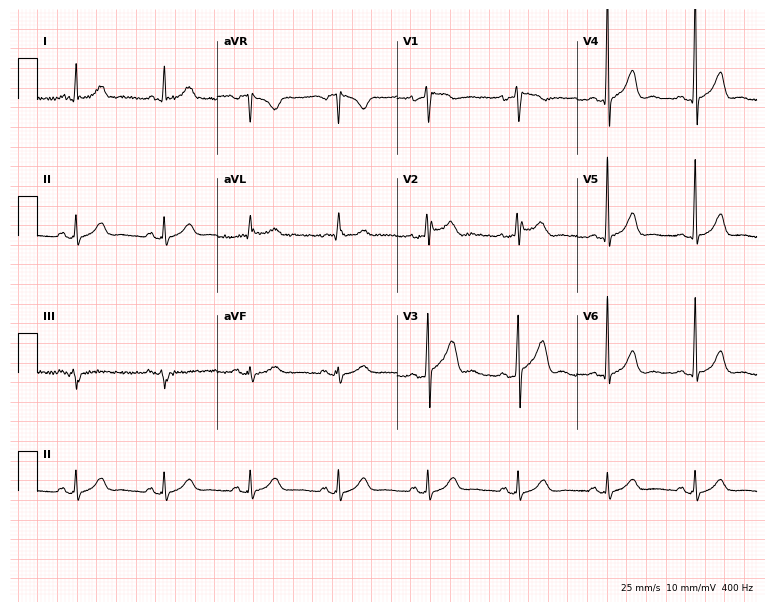
12-lead ECG (7.3-second recording at 400 Hz) from a man, 52 years old. Labelled as a normal ECG.